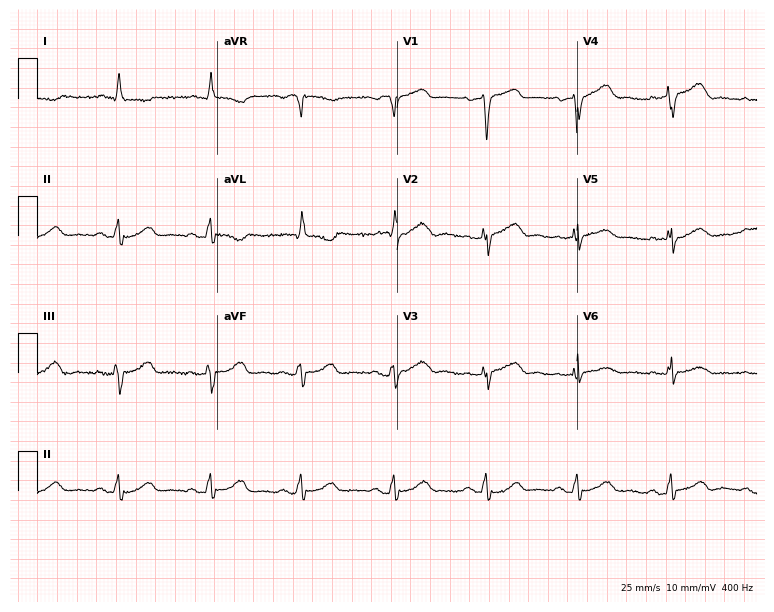
Resting 12-lead electrocardiogram (7.3-second recording at 400 Hz). Patient: a 54-year-old female. None of these six findings is recorded: first-degree AV block, right bundle branch block, left bundle branch block, sinus bradycardia, atrial fibrillation, sinus tachycardia. Findings outside these six are not listed.